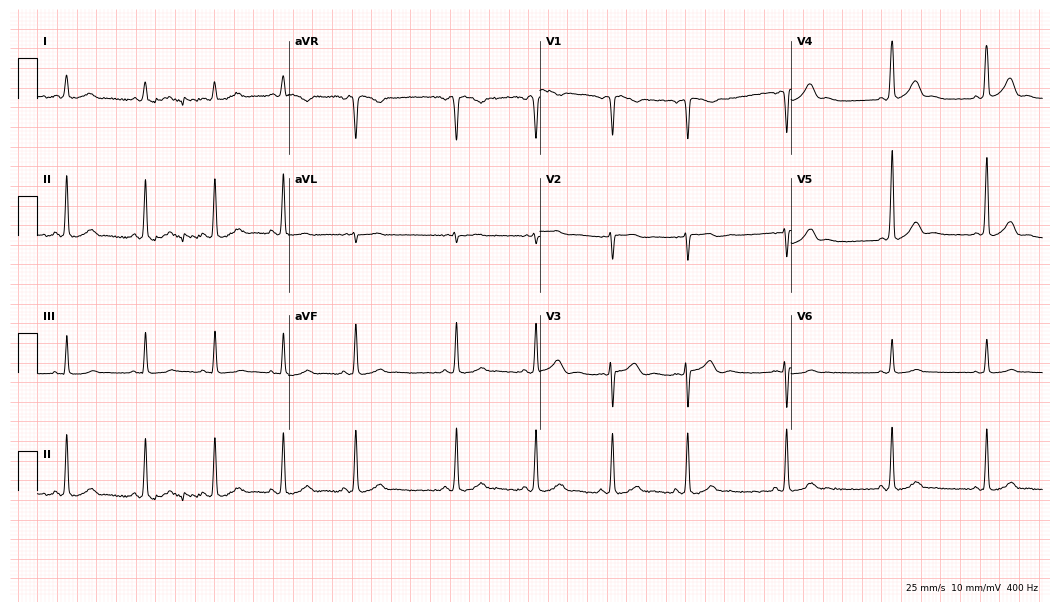
Standard 12-lead ECG recorded from a 24-year-old female. None of these six findings is recorded: first-degree AV block, right bundle branch block, left bundle branch block, sinus bradycardia, atrial fibrillation, sinus tachycardia.